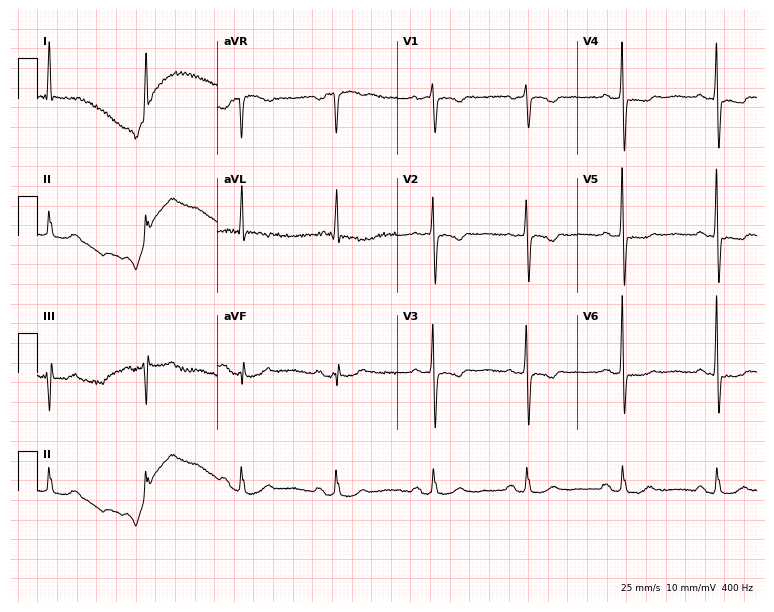
Standard 12-lead ECG recorded from a female patient, 74 years old (7.3-second recording at 400 Hz). None of these six findings is recorded: first-degree AV block, right bundle branch block, left bundle branch block, sinus bradycardia, atrial fibrillation, sinus tachycardia.